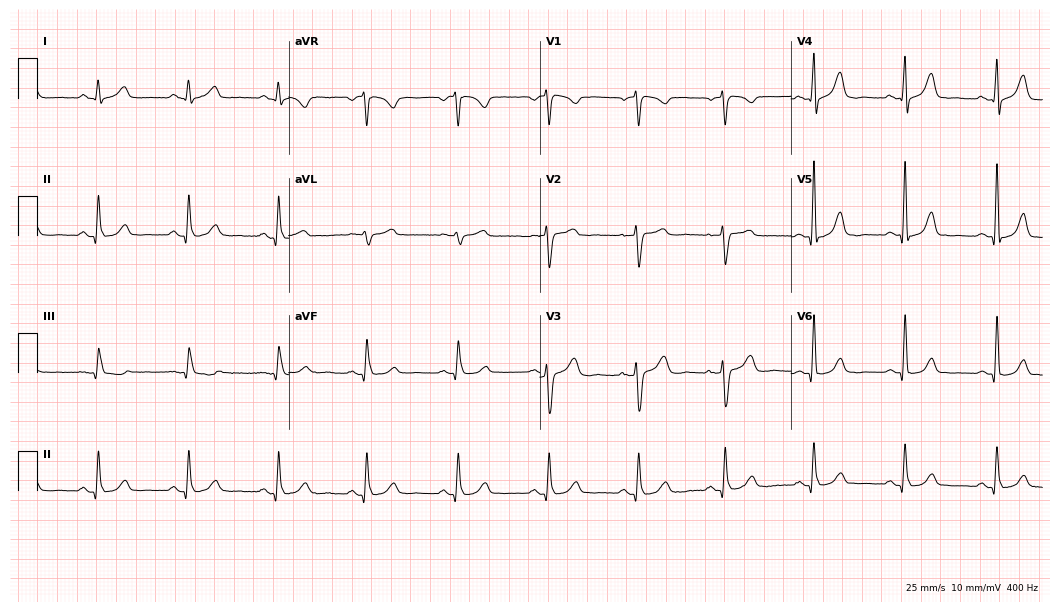
Standard 12-lead ECG recorded from a 54-year-old female (10.2-second recording at 400 Hz). None of these six findings is recorded: first-degree AV block, right bundle branch block, left bundle branch block, sinus bradycardia, atrial fibrillation, sinus tachycardia. Other findings, if any, are not listed.